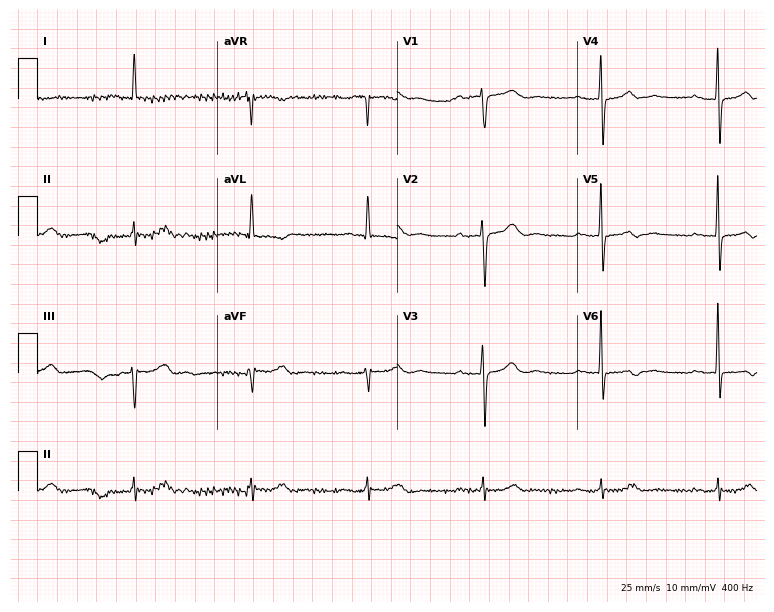
12-lead ECG from a female, 76 years old. Screened for six findings — first-degree AV block, right bundle branch block (RBBB), left bundle branch block (LBBB), sinus bradycardia, atrial fibrillation (AF), sinus tachycardia — none is recorded. Only these six findings were labelled.